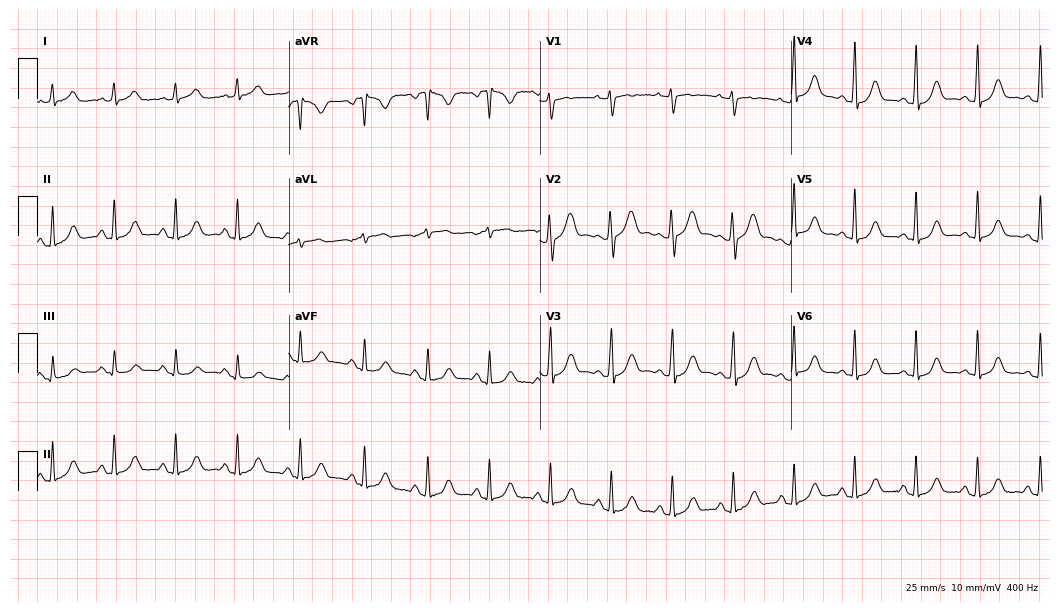
ECG (10.2-second recording at 400 Hz) — a 44-year-old female. Labelled as a normal ECG.